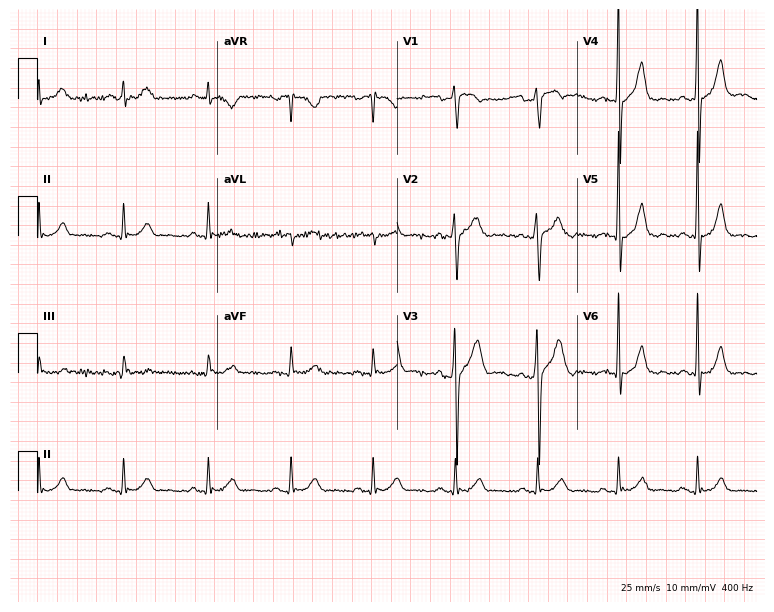
Standard 12-lead ECG recorded from a male, 41 years old (7.3-second recording at 400 Hz). None of these six findings is recorded: first-degree AV block, right bundle branch block (RBBB), left bundle branch block (LBBB), sinus bradycardia, atrial fibrillation (AF), sinus tachycardia.